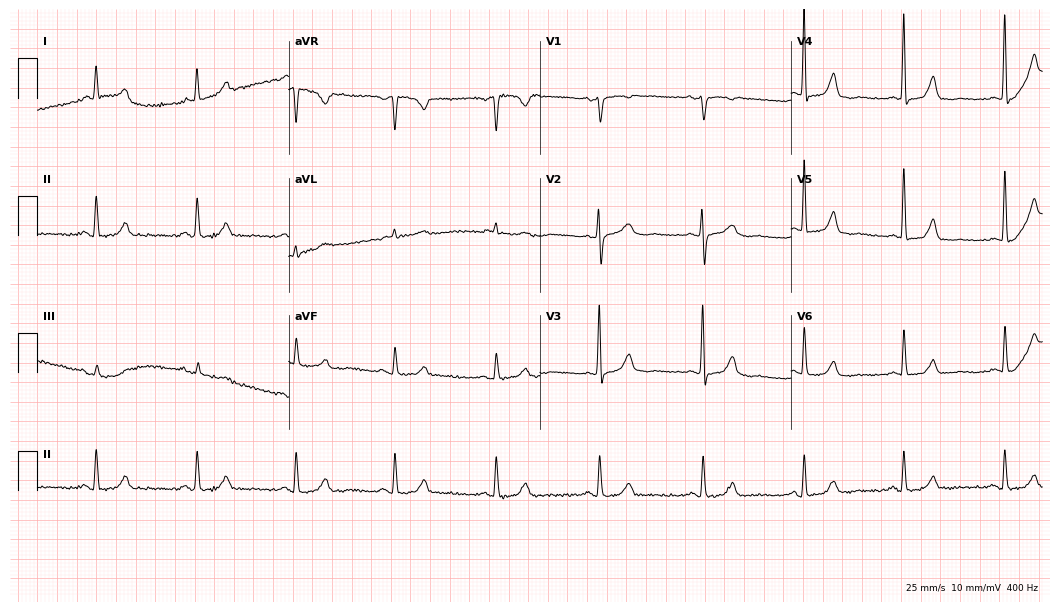
Standard 12-lead ECG recorded from a 74-year-old female patient. Read as a normal ECG.